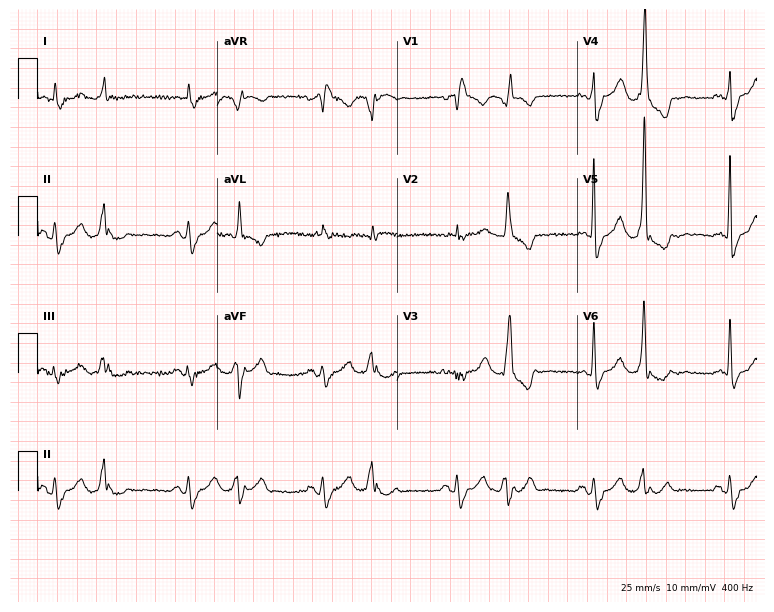
12-lead ECG from an 84-year-old male. Findings include first-degree AV block, right bundle branch block.